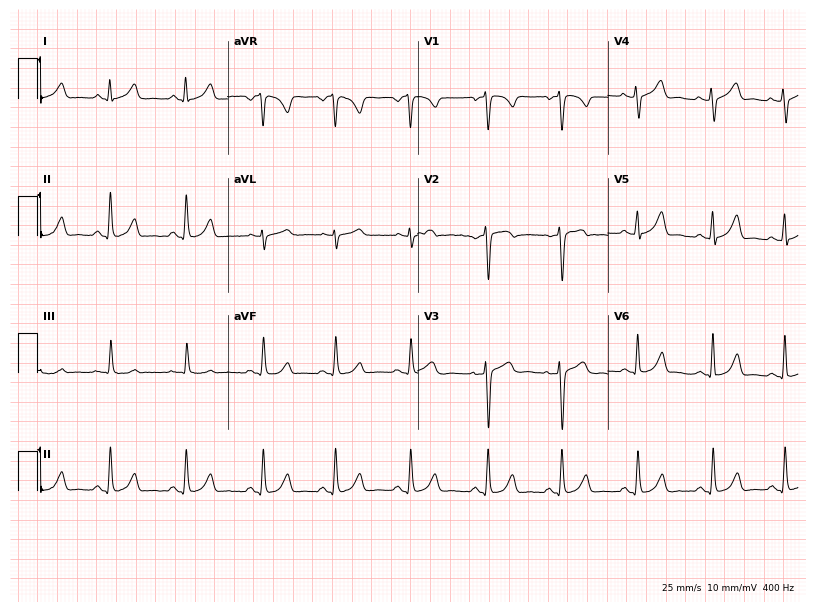
Electrocardiogram (7.8-second recording at 400 Hz), a 20-year-old woman. Overall reading on record: normal ECG.